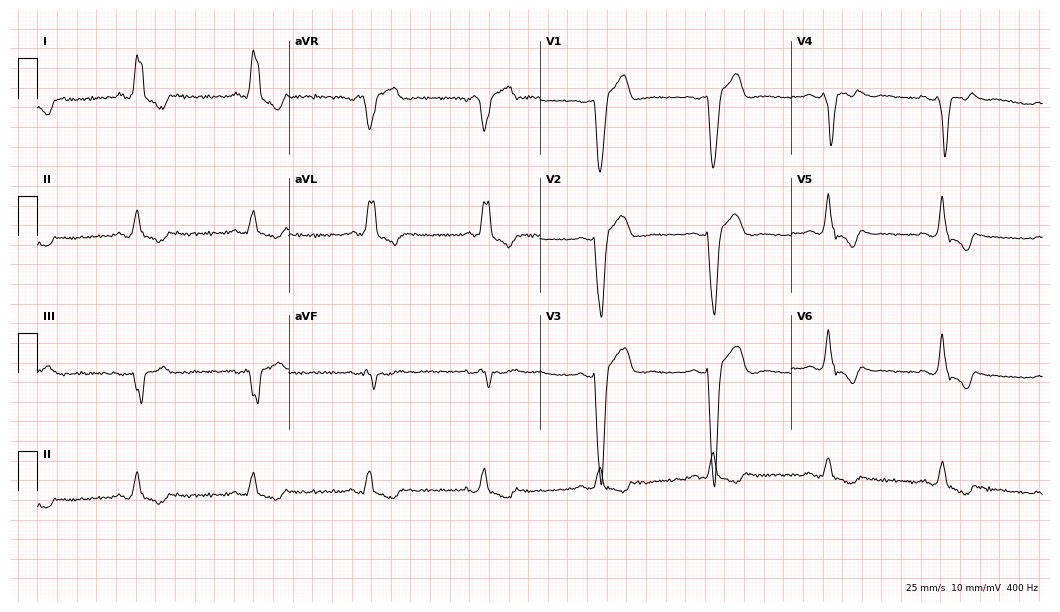
ECG — a 68-year-old man. Findings include left bundle branch block.